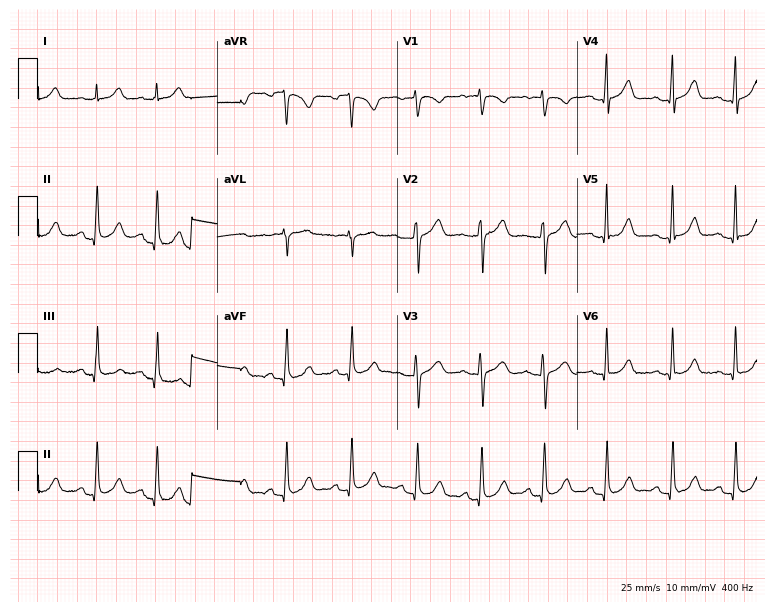
Resting 12-lead electrocardiogram. Patient: a female, 30 years old. Read as a normal ECG.